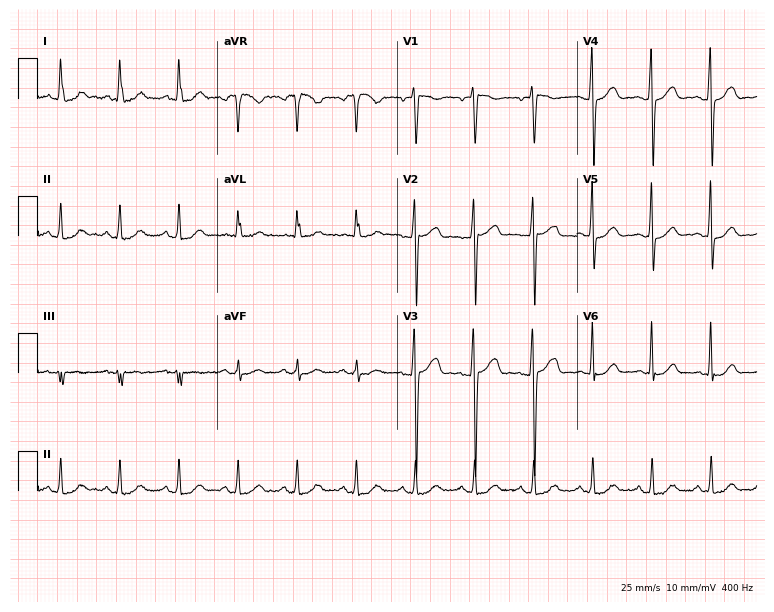
12-lead ECG from a female patient, 63 years old. Screened for six findings — first-degree AV block, right bundle branch block, left bundle branch block, sinus bradycardia, atrial fibrillation, sinus tachycardia — none is recorded.